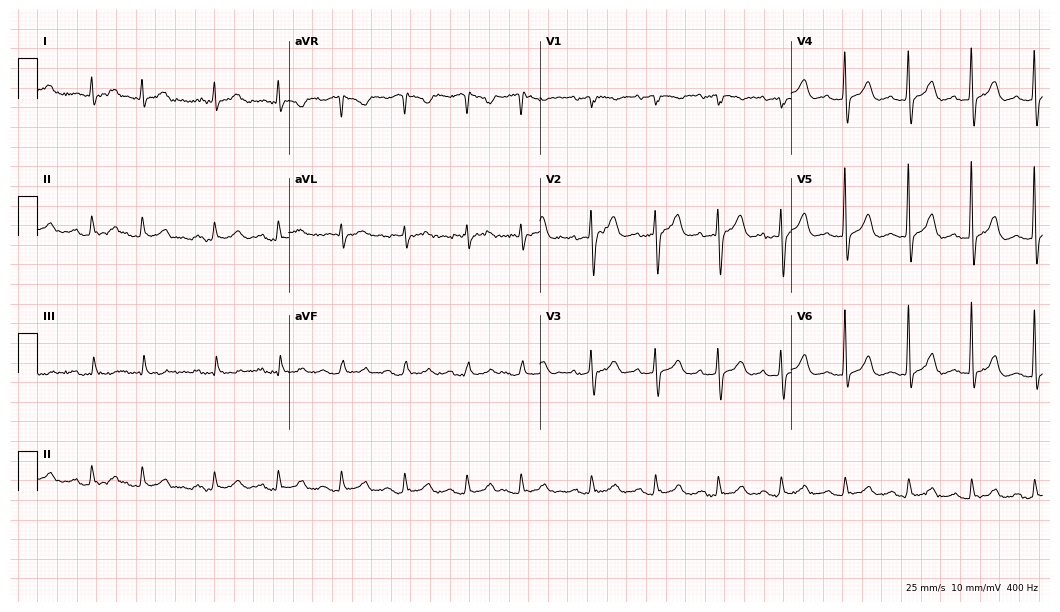
Standard 12-lead ECG recorded from an 82-year-old male patient (10.2-second recording at 400 Hz). None of these six findings is recorded: first-degree AV block, right bundle branch block (RBBB), left bundle branch block (LBBB), sinus bradycardia, atrial fibrillation (AF), sinus tachycardia.